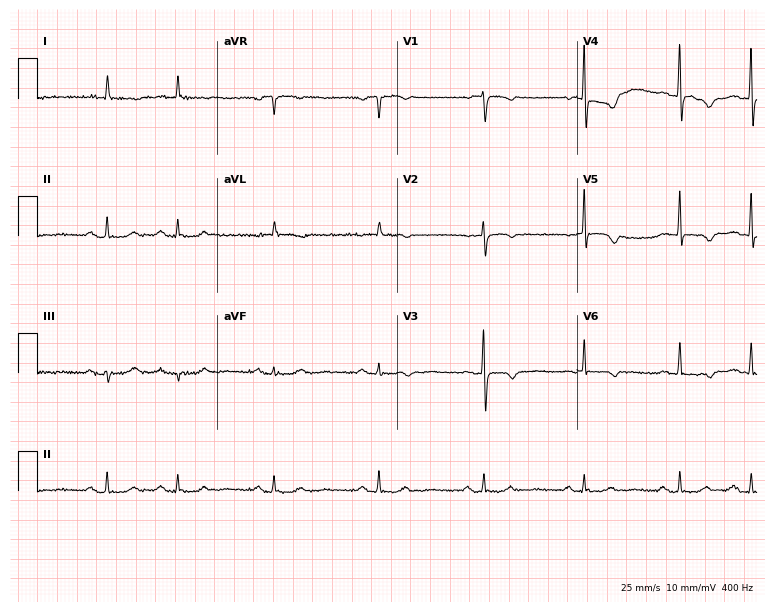
Resting 12-lead electrocardiogram (7.3-second recording at 400 Hz). Patient: a 73-year-old female. None of these six findings is recorded: first-degree AV block, right bundle branch block, left bundle branch block, sinus bradycardia, atrial fibrillation, sinus tachycardia.